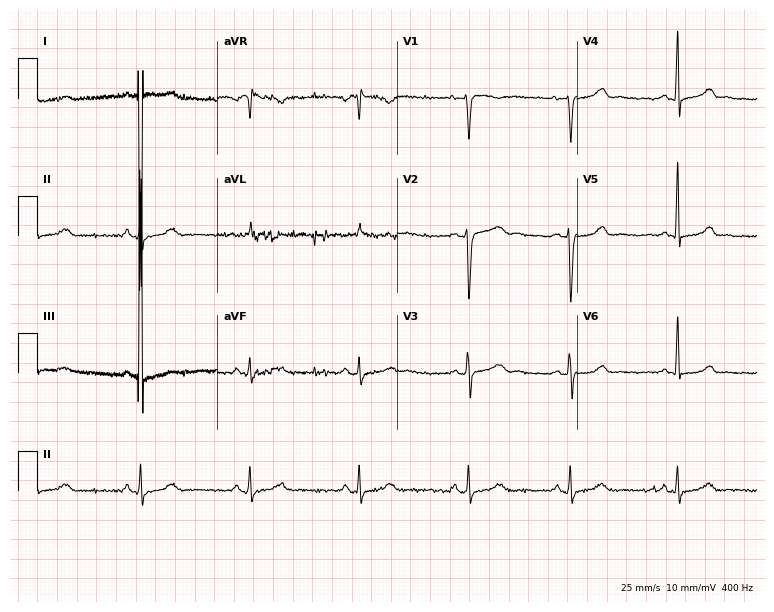
Electrocardiogram, a woman, 46 years old. Of the six screened findings (first-degree AV block, right bundle branch block, left bundle branch block, sinus bradycardia, atrial fibrillation, sinus tachycardia), none is recorded. Findings outside these six are not listed.